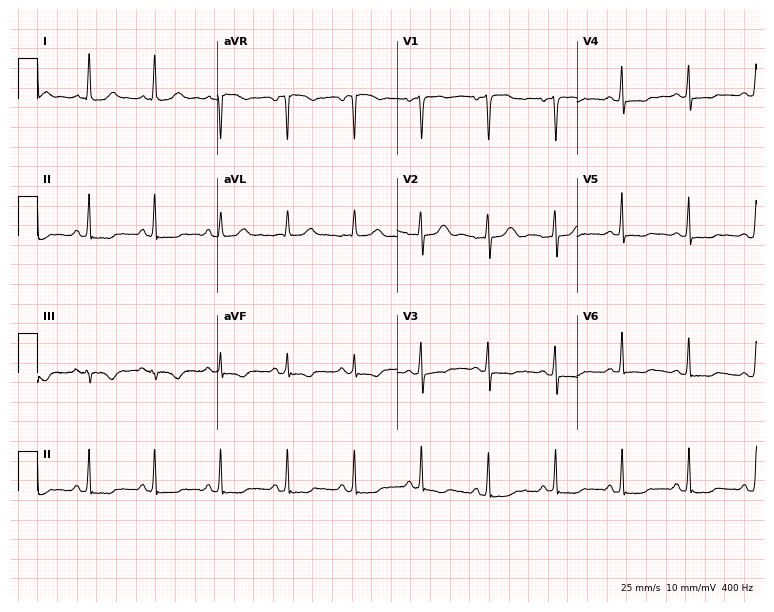
Standard 12-lead ECG recorded from a female, 61 years old. None of these six findings is recorded: first-degree AV block, right bundle branch block, left bundle branch block, sinus bradycardia, atrial fibrillation, sinus tachycardia.